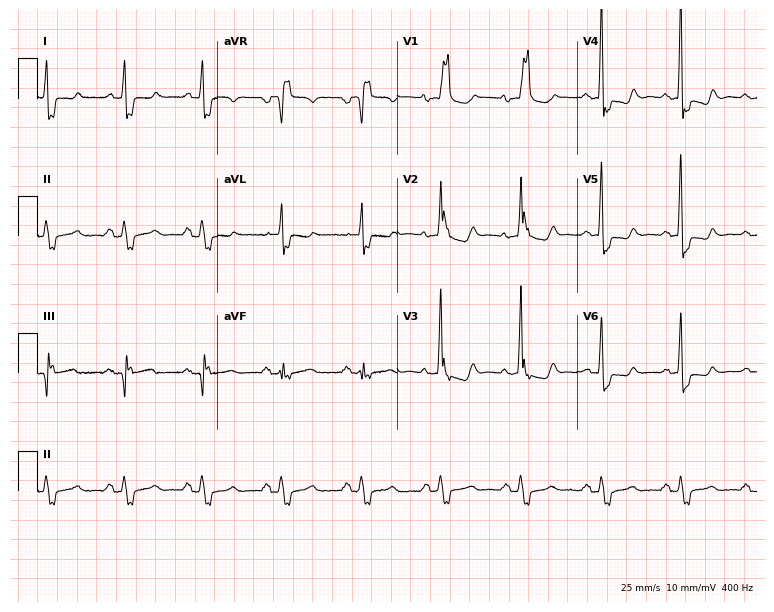
Resting 12-lead electrocardiogram (7.3-second recording at 400 Hz). Patient: a 75-year-old female. The tracing shows right bundle branch block.